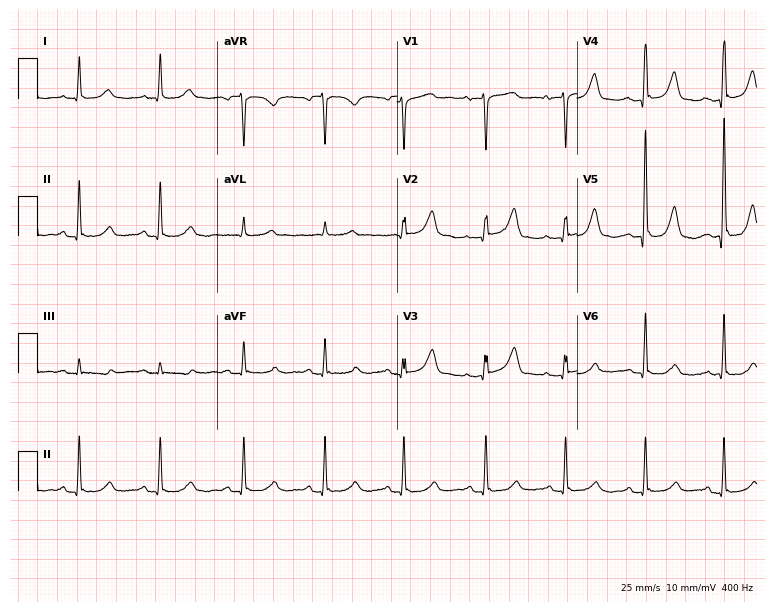
ECG — a 50-year-old female patient. Labelled as a normal ECG.